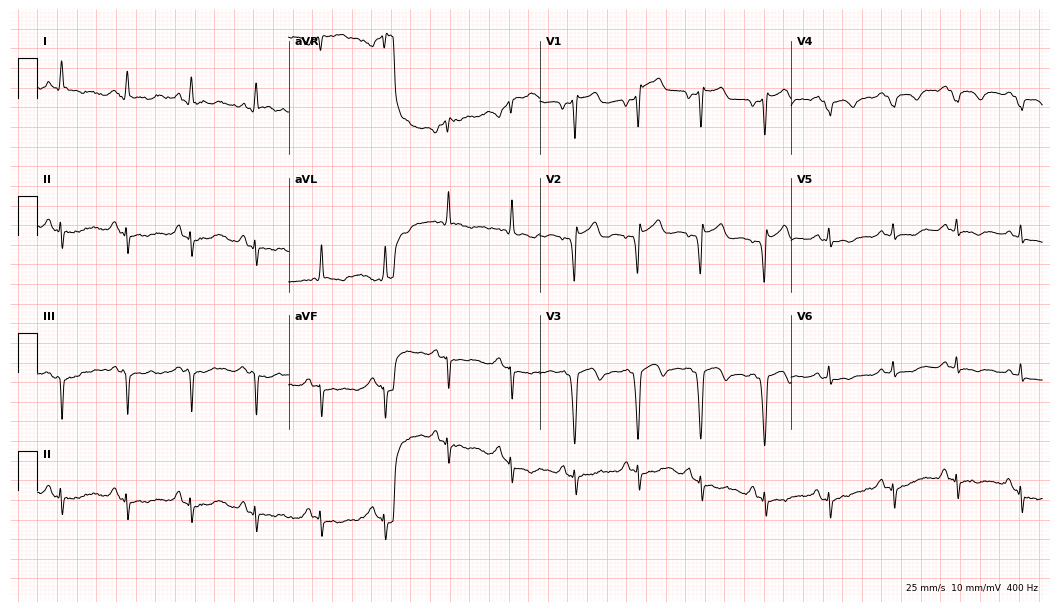
Resting 12-lead electrocardiogram (10.2-second recording at 400 Hz). Patient: a 43-year-old male. None of these six findings is recorded: first-degree AV block, right bundle branch block, left bundle branch block, sinus bradycardia, atrial fibrillation, sinus tachycardia.